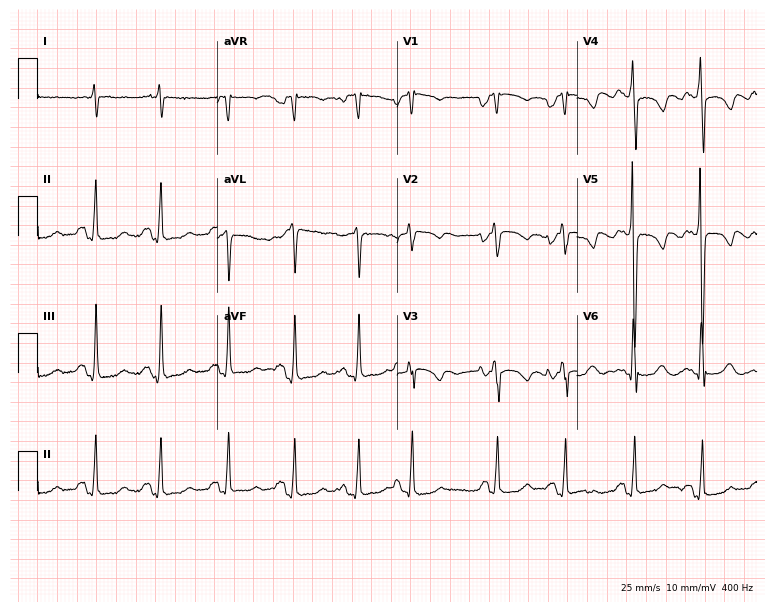
ECG — a female patient, 38 years old. Screened for six findings — first-degree AV block, right bundle branch block (RBBB), left bundle branch block (LBBB), sinus bradycardia, atrial fibrillation (AF), sinus tachycardia — none is recorded. Only these six findings were labelled.